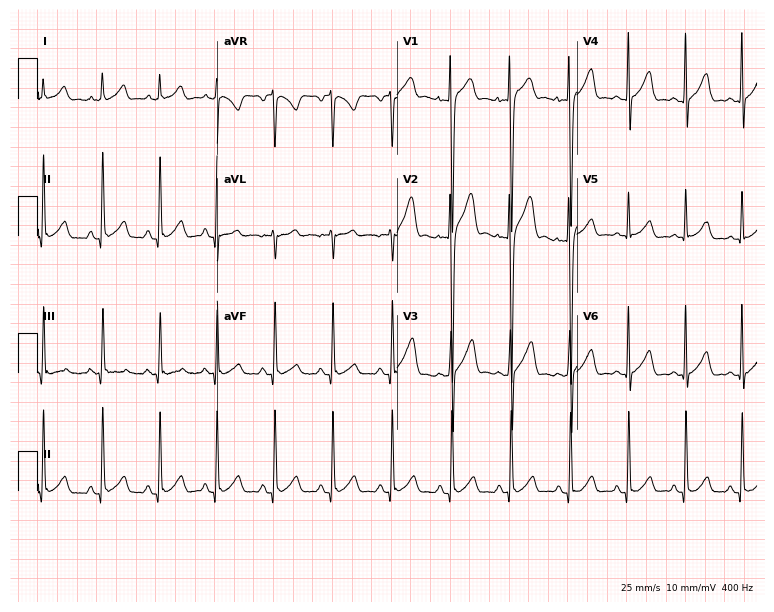
12-lead ECG (7.3-second recording at 400 Hz) from a 17-year-old male patient. Labelled as a normal ECG.